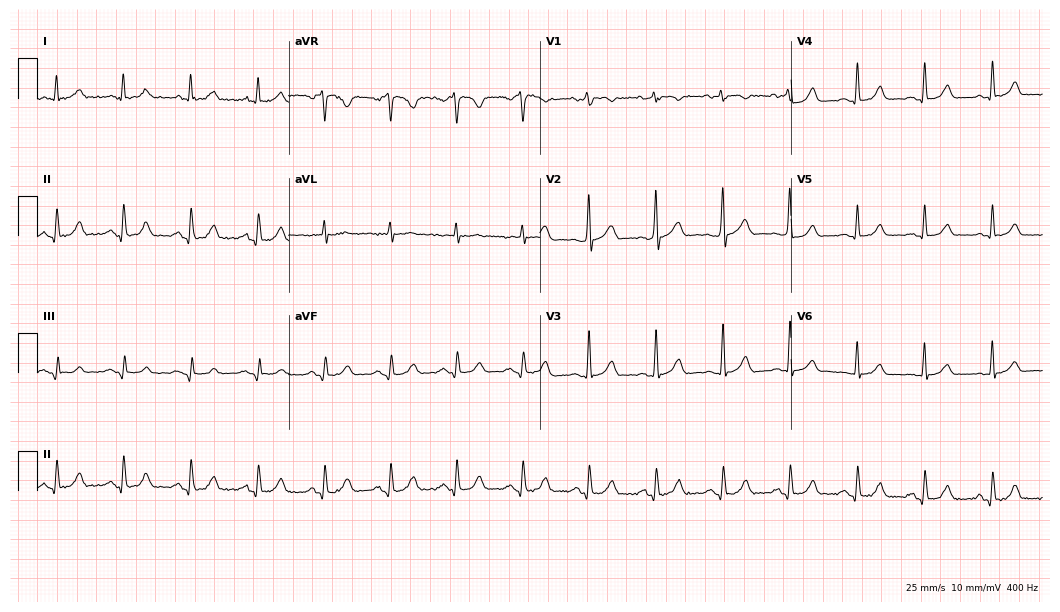
ECG — a female, 58 years old. Labelled as a normal ECG.